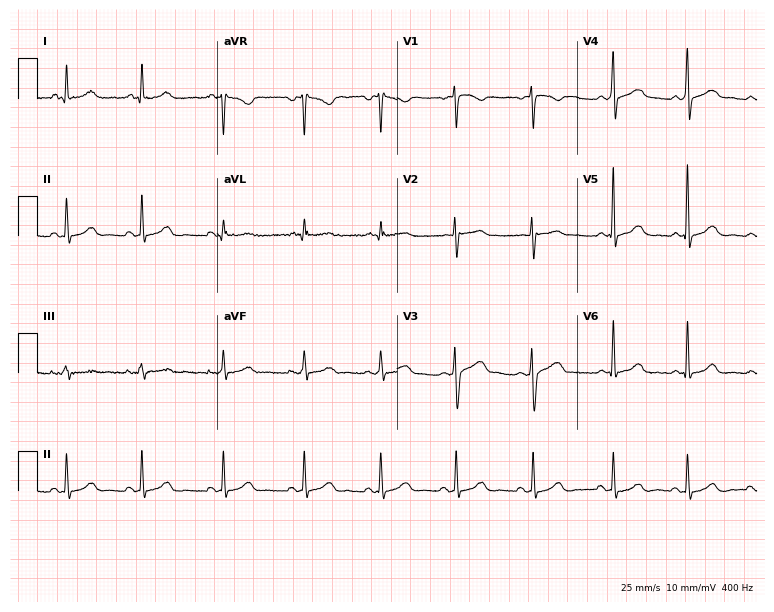
Standard 12-lead ECG recorded from a female, 36 years old. Read as a normal ECG.